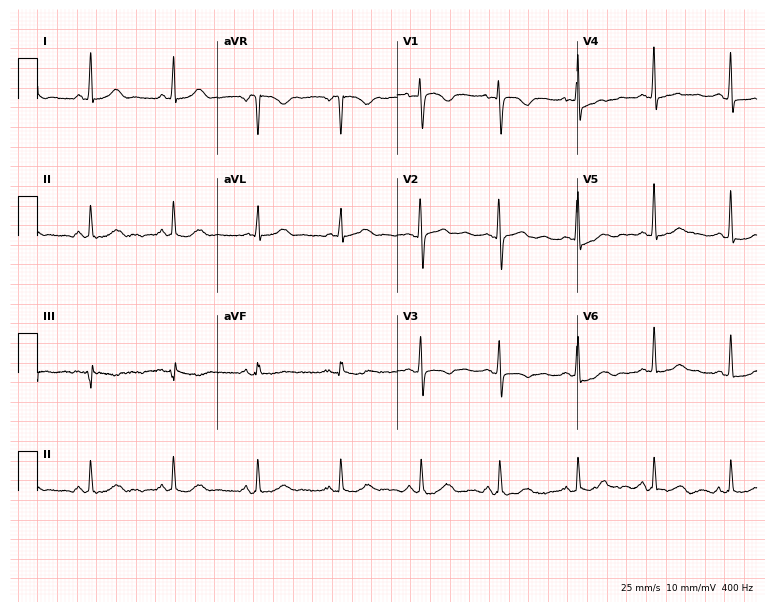
12-lead ECG (7.3-second recording at 400 Hz) from a 50-year-old woman. Labelled as a normal ECG.